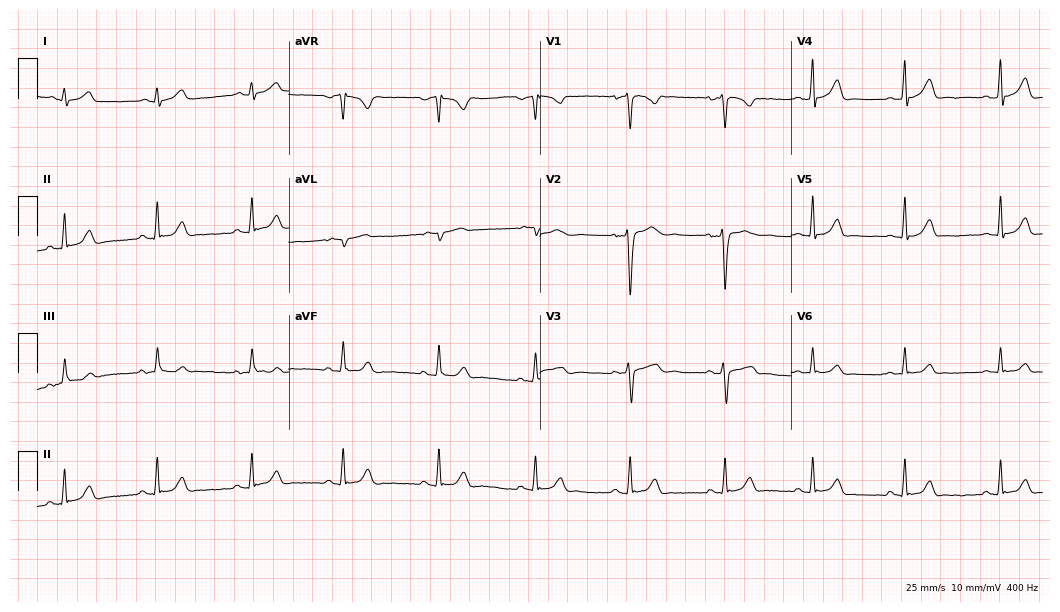
ECG — a male patient, 24 years old. Labelled as a normal ECG.